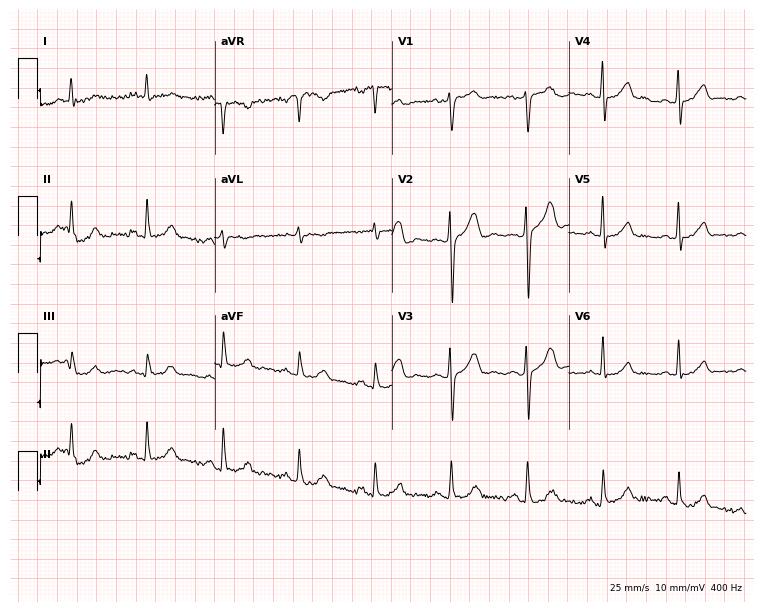
Standard 12-lead ECG recorded from a female, 65 years old (7.2-second recording at 400 Hz). Read as a normal ECG.